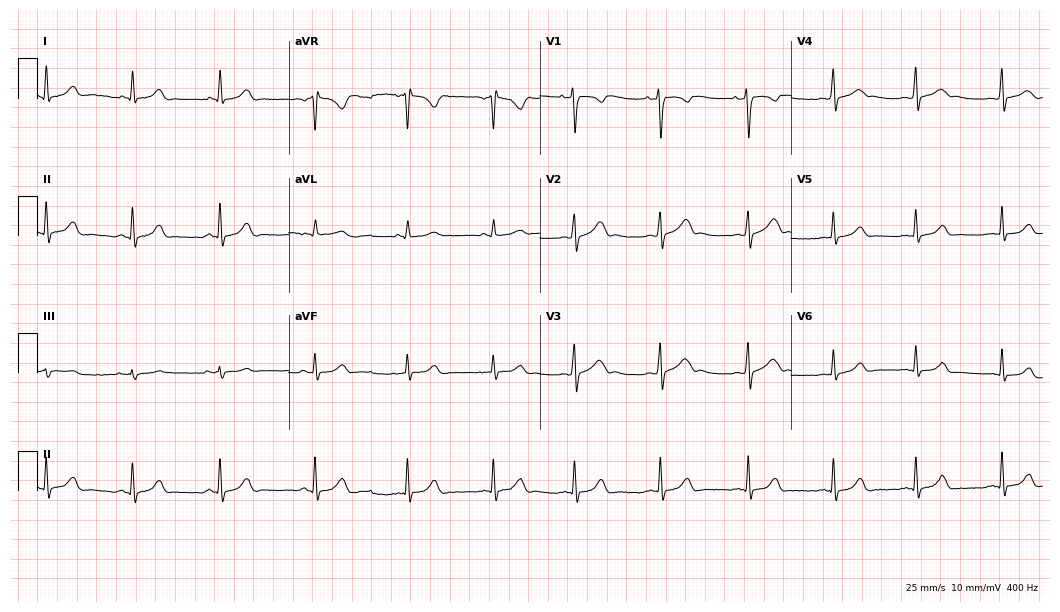
Electrocardiogram, an 18-year-old woman. Overall reading on record: normal ECG.